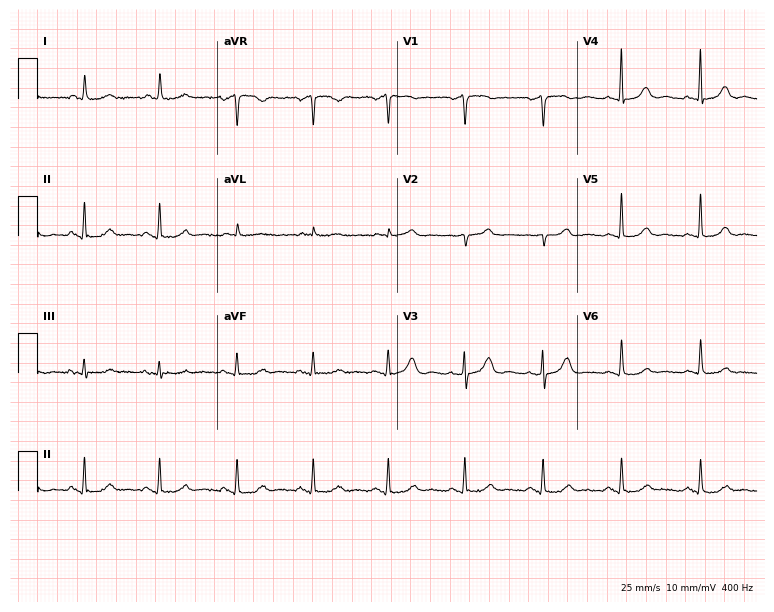
Electrocardiogram (7.3-second recording at 400 Hz), a 72-year-old female. Overall reading on record: normal ECG.